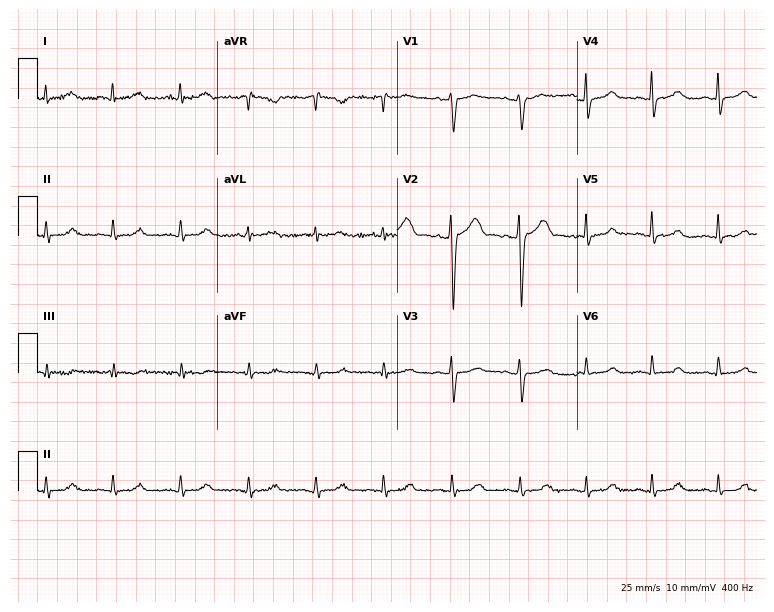
Electrocardiogram, a woman, 38 years old. Of the six screened findings (first-degree AV block, right bundle branch block, left bundle branch block, sinus bradycardia, atrial fibrillation, sinus tachycardia), none is recorded.